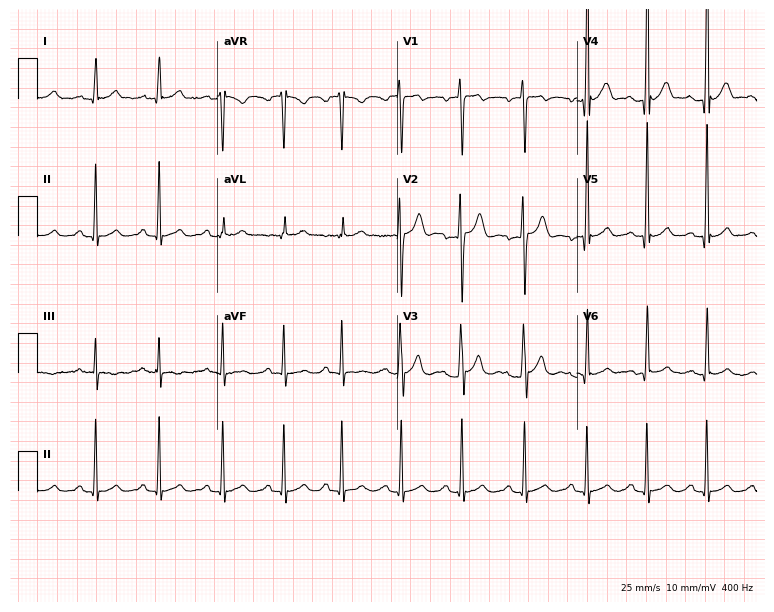
Resting 12-lead electrocardiogram. Patient: an 18-year-old man. Read as a normal ECG.